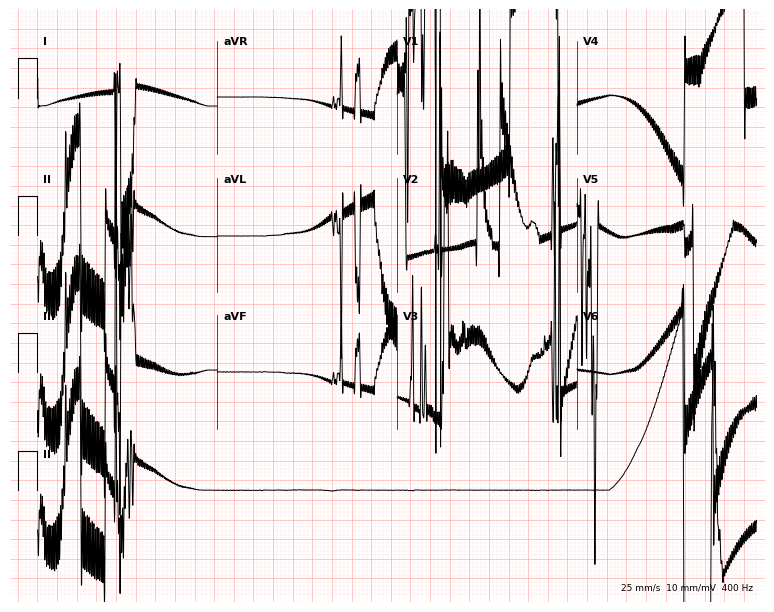
Resting 12-lead electrocardiogram (7.3-second recording at 400 Hz). Patient: a 31-year-old male. None of these six findings is recorded: first-degree AV block, right bundle branch block, left bundle branch block, sinus bradycardia, atrial fibrillation, sinus tachycardia. Only these six findings were labelled.